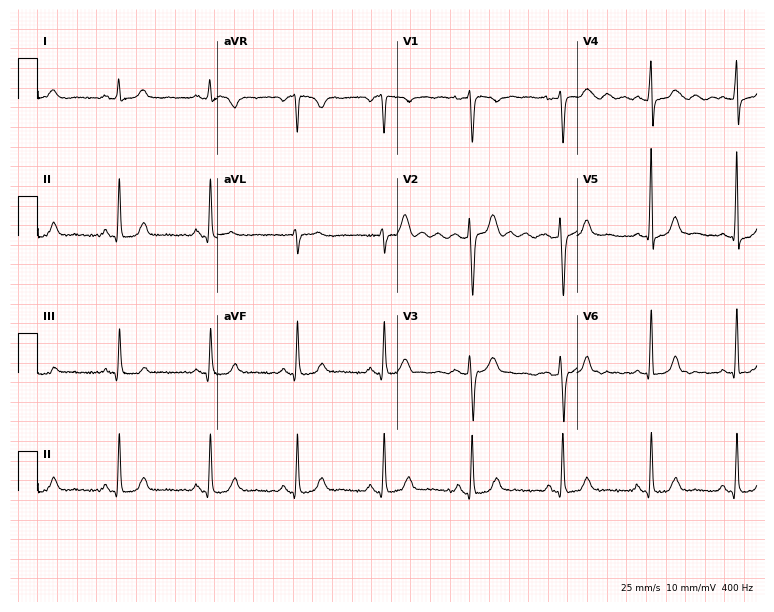
ECG — a 37-year-old female patient. Labelled as a normal ECG.